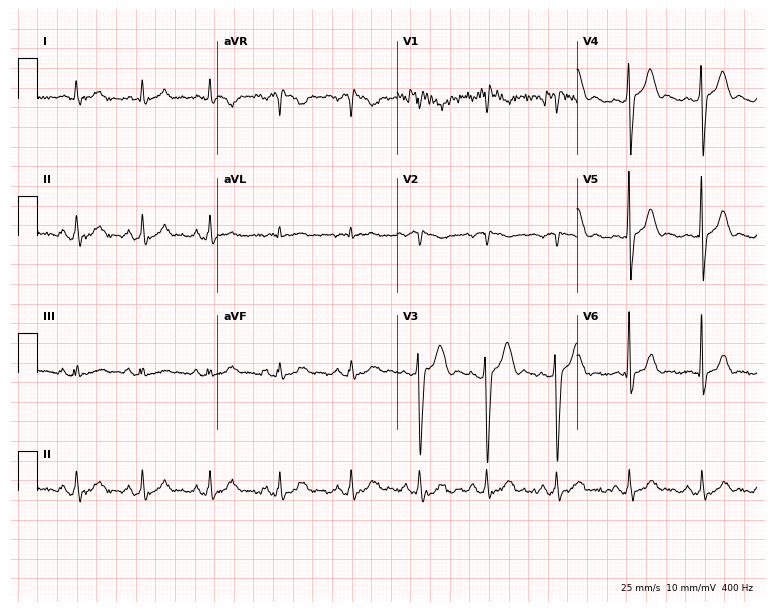
12-lead ECG (7.3-second recording at 400 Hz) from a 42-year-old man. Screened for six findings — first-degree AV block, right bundle branch block, left bundle branch block, sinus bradycardia, atrial fibrillation, sinus tachycardia — none is recorded. Findings outside these six are not listed.